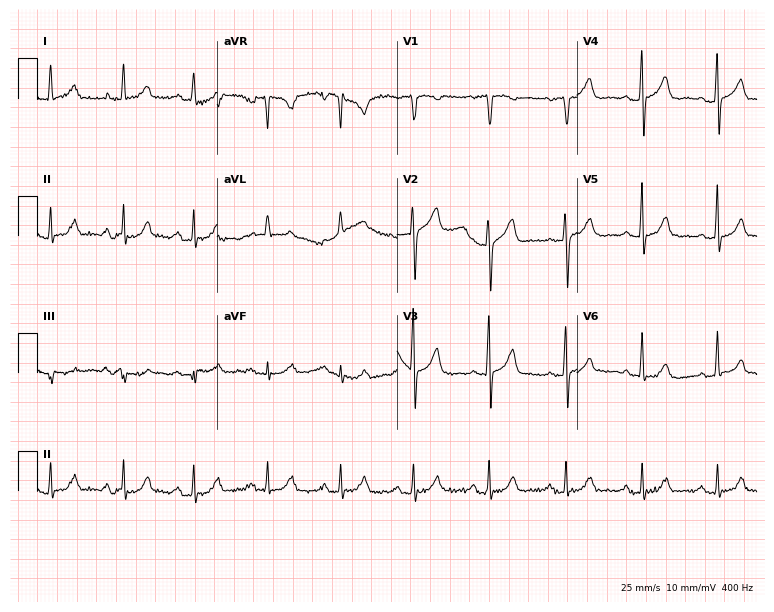
Resting 12-lead electrocardiogram (7.3-second recording at 400 Hz). Patient: a 60-year-old woman. Read as a normal ECG.